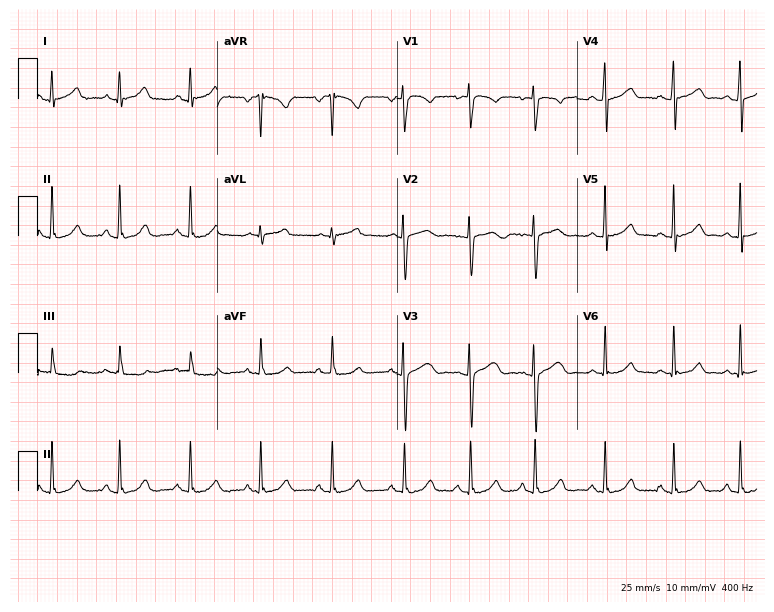
12-lead ECG from a 22-year-old female patient (7.3-second recording at 400 Hz). Recorded interpretation: within normal limits.